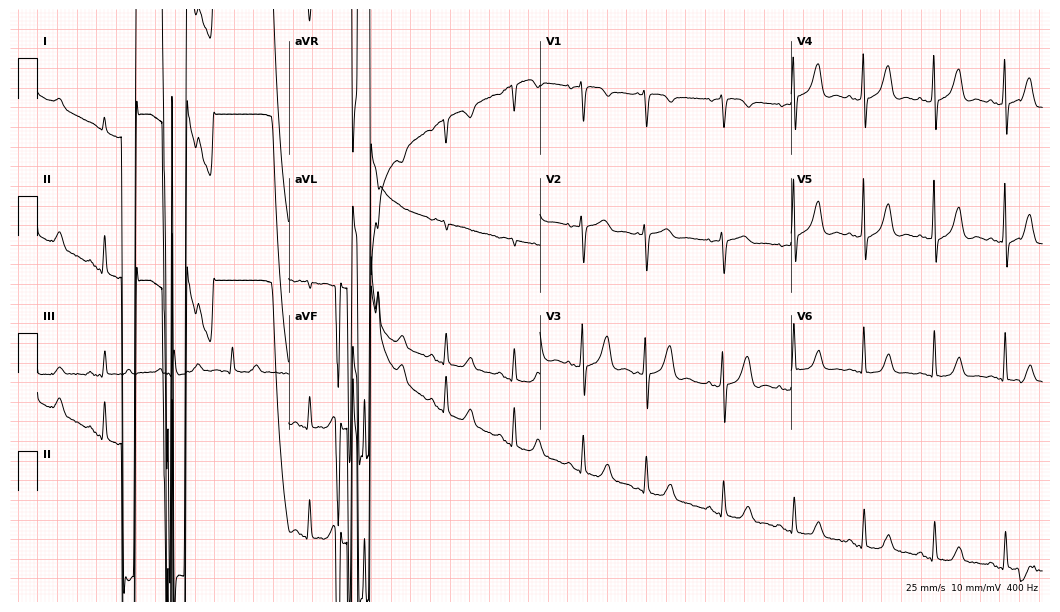
Electrocardiogram (10.2-second recording at 400 Hz), a 79-year-old female. Of the six screened findings (first-degree AV block, right bundle branch block (RBBB), left bundle branch block (LBBB), sinus bradycardia, atrial fibrillation (AF), sinus tachycardia), none is recorded.